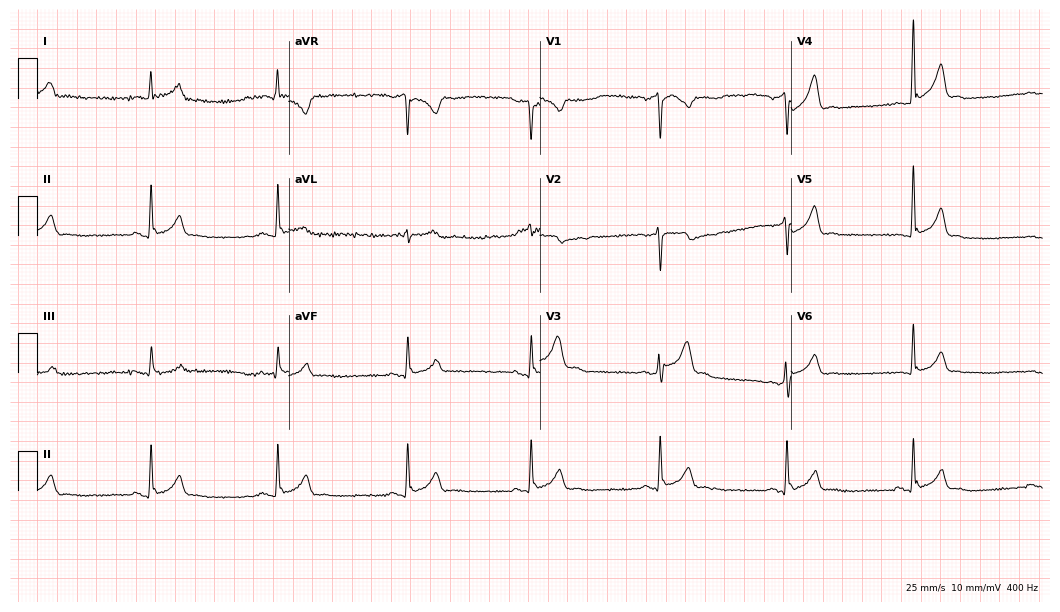
Standard 12-lead ECG recorded from a man, 37 years old. The tracing shows sinus bradycardia (a sinus rate of 50 beats per minute or less).